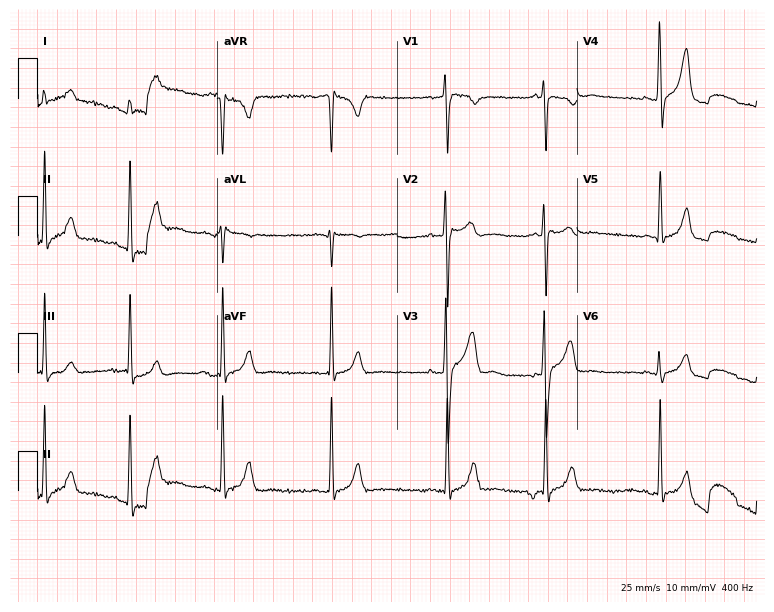
Resting 12-lead electrocardiogram. Patient: a 32-year-old male. None of these six findings is recorded: first-degree AV block, right bundle branch block (RBBB), left bundle branch block (LBBB), sinus bradycardia, atrial fibrillation (AF), sinus tachycardia. Only these six findings were labelled.